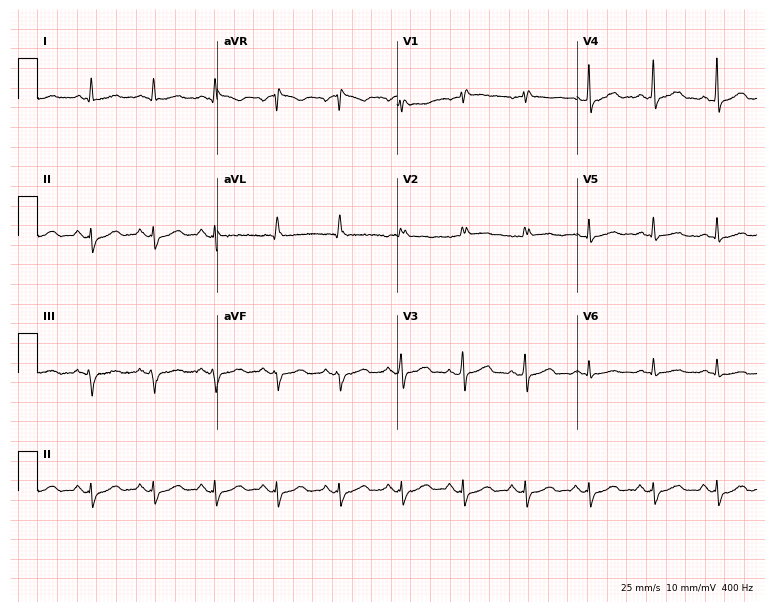
Standard 12-lead ECG recorded from a 72-year-old man. None of these six findings is recorded: first-degree AV block, right bundle branch block, left bundle branch block, sinus bradycardia, atrial fibrillation, sinus tachycardia.